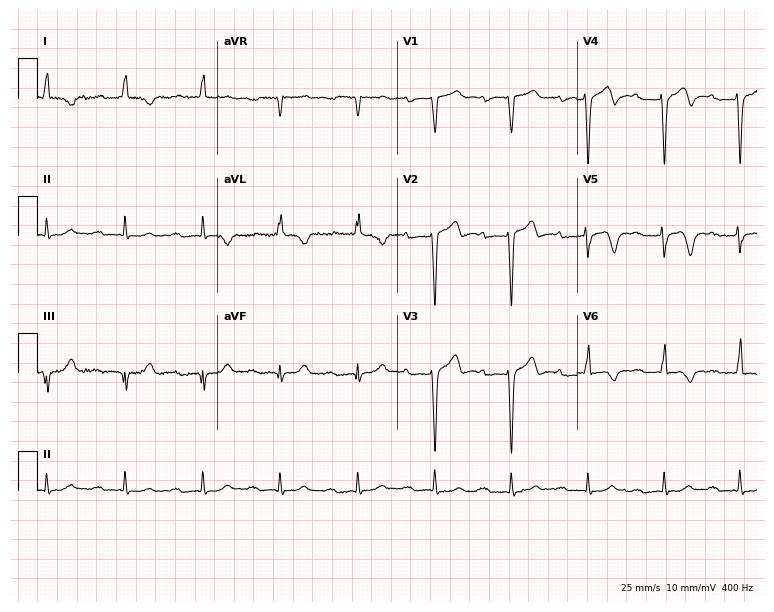
ECG — an 85-year-old male patient. Findings include first-degree AV block.